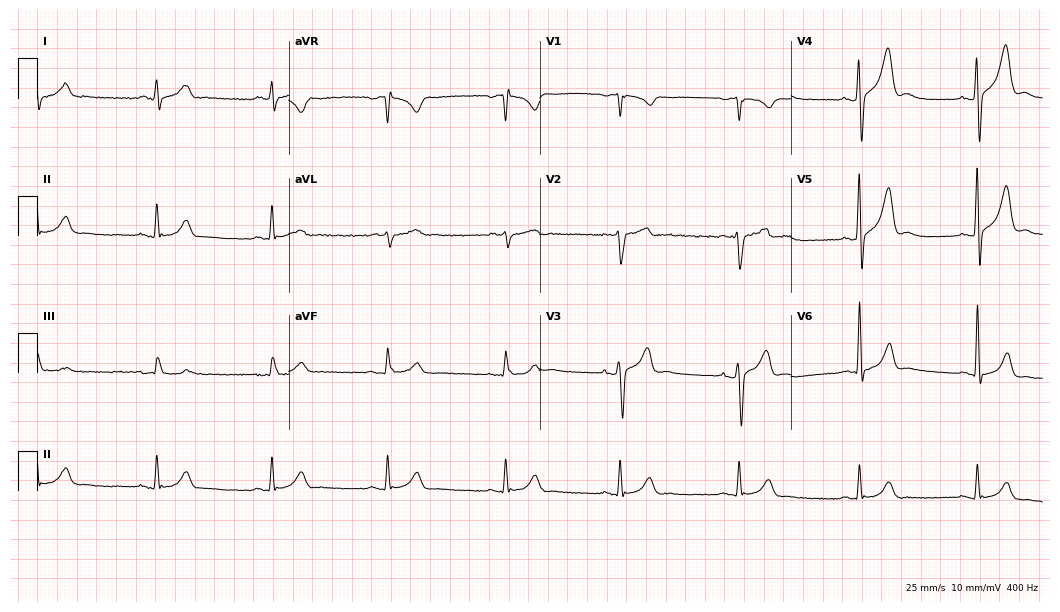
ECG — a 46-year-old male. Labelled as a normal ECG.